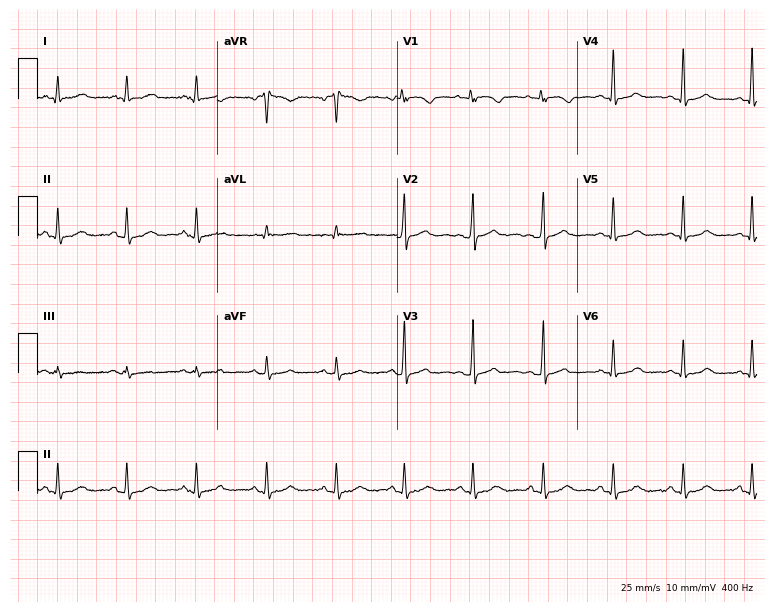
ECG — a 68-year-old female. Screened for six findings — first-degree AV block, right bundle branch block, left bundle branch block, sinus bradycardia, atrial fibrillation, sinus tachycardia — none is recorded.